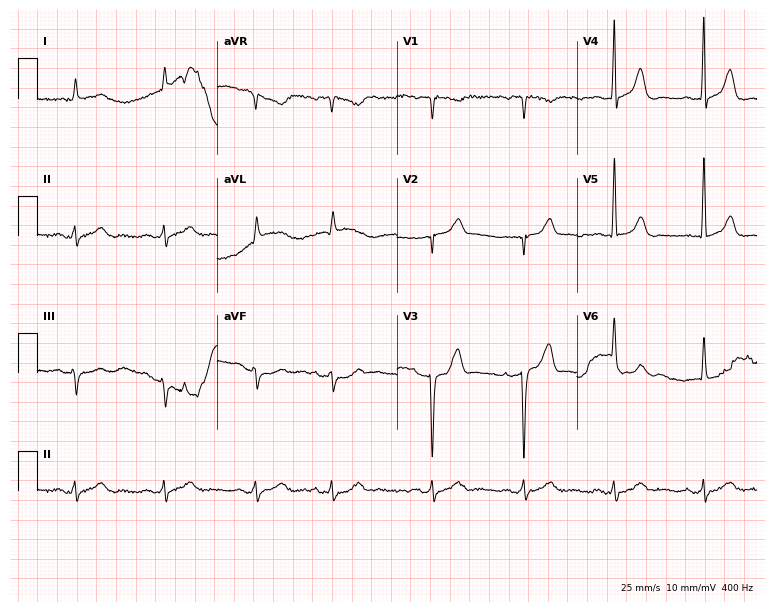
12-lead ECG from a male patient, 82 years old (7.3-second recording at 400 Hz). No first-degree AV block, right bundle branch block (RBBB), left bundle branch block (LBBB), sinus bradycardia, atrial fibrillation (AF) or sinus tachycardia recorded for this tracing. Findings outside these six are not listed.